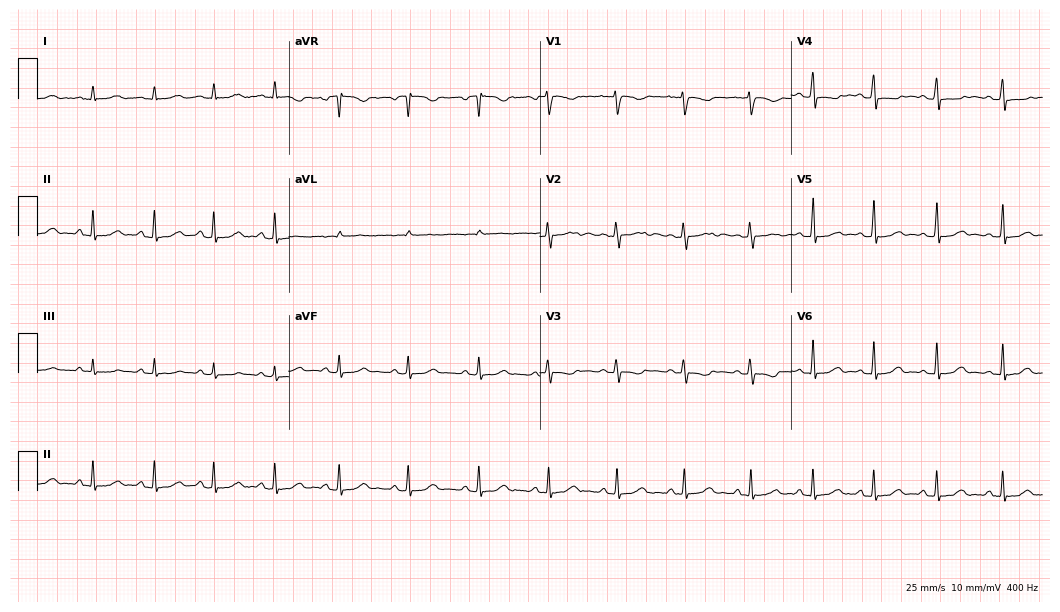
12-lead ECG from a 19-year-old female patient. Recorded interpretation: within normal limits.